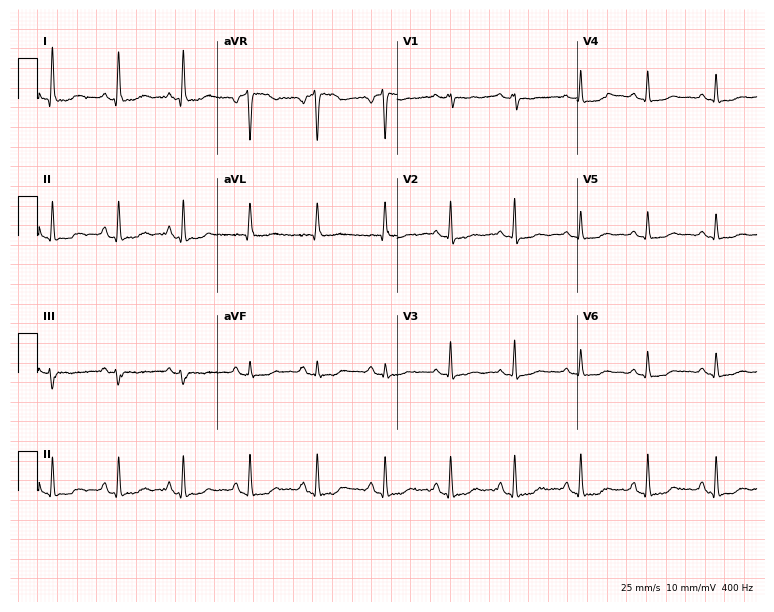
12-lead ECG from a woman, 65 years old. No first-degree AV block, right bundle branch block, left bundle branch block, sinus bradycardia, atrial fibrillation or sinus tachycardia recorded for this tracing. Only these six findings were labelled.